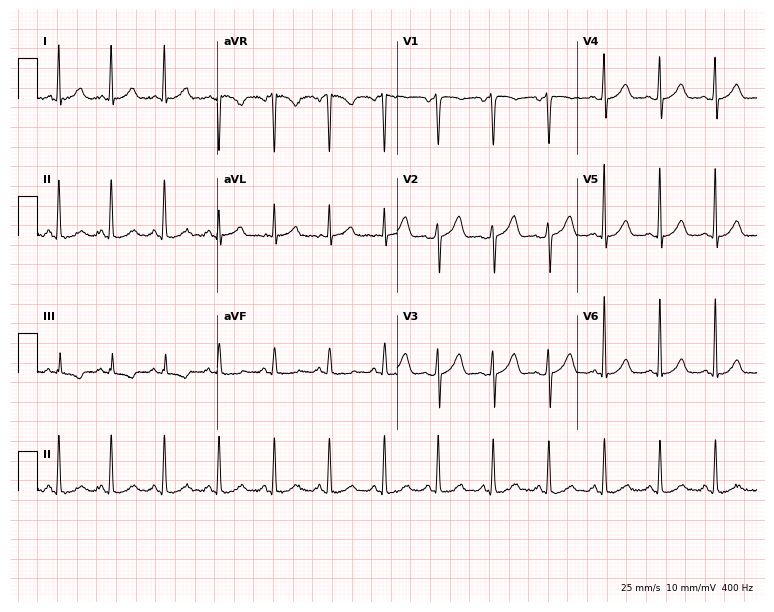
12-lead ECG from a 41-year-old female patient. Shows sinus tachycardia (a sinus rate of 100 beats per minute or more).